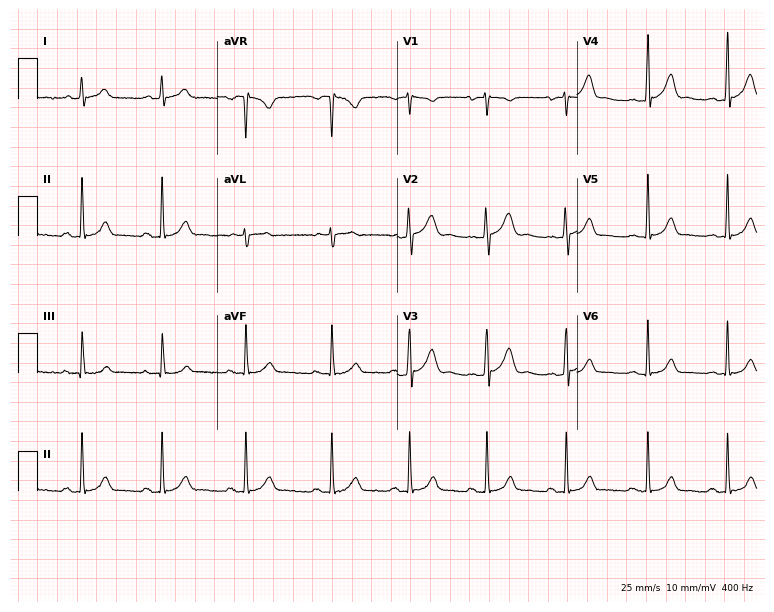
12-lead ECG from a female patient, 19 years old. No first-degree AV block, right bundle branch block, left bundle branch block, sinus bradycardia, atrial fibrillation or sinus tachycardia recorded for this tracing.